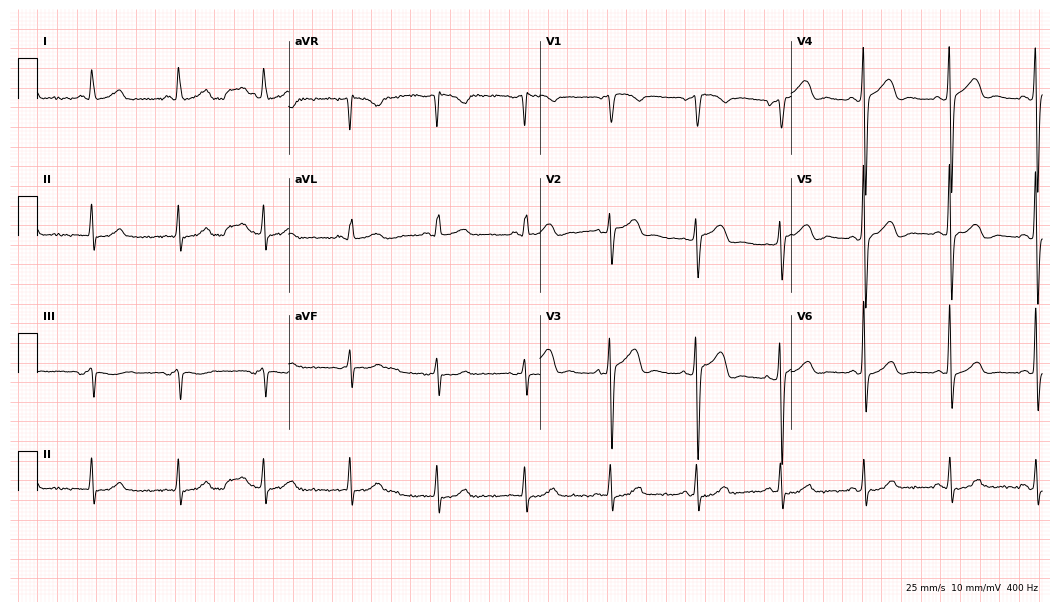
Standard 12-lead ECG recorded from a 71-year-old female patient. None of these six findings is recorded: first-degree AV block, right bundle branch block, left bundle branch block, sinus bradycardia, atrial fibrillation, sinus tachycardia. Other findings, if any, are not listed.